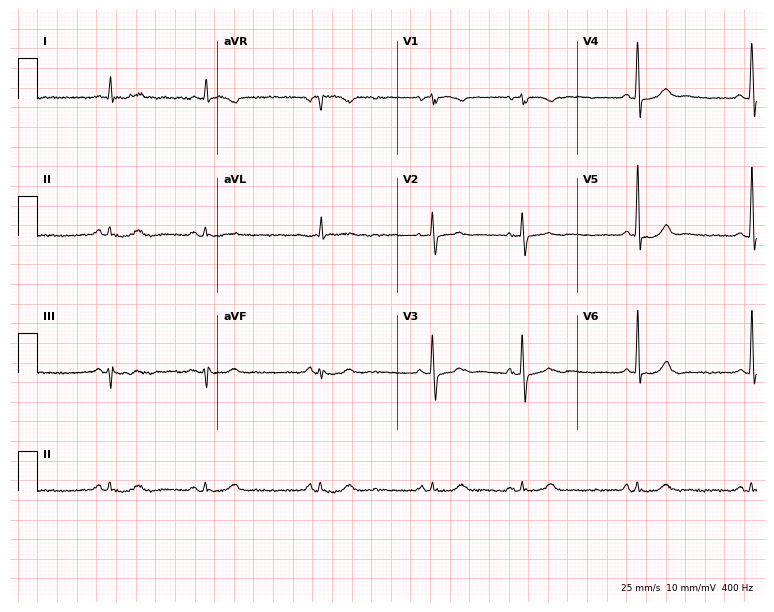
Standard 12-lead ECG recorded from a male, 85 years old. Read as a normal ECG.